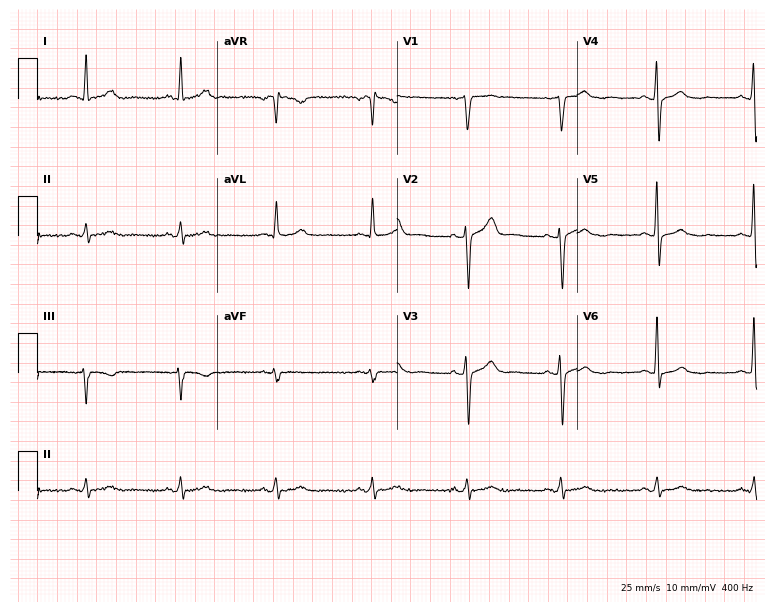
ECG (7.3-second recording at 400 Hz) — a male patient, 65 years old. Labelled as a normal ECG.